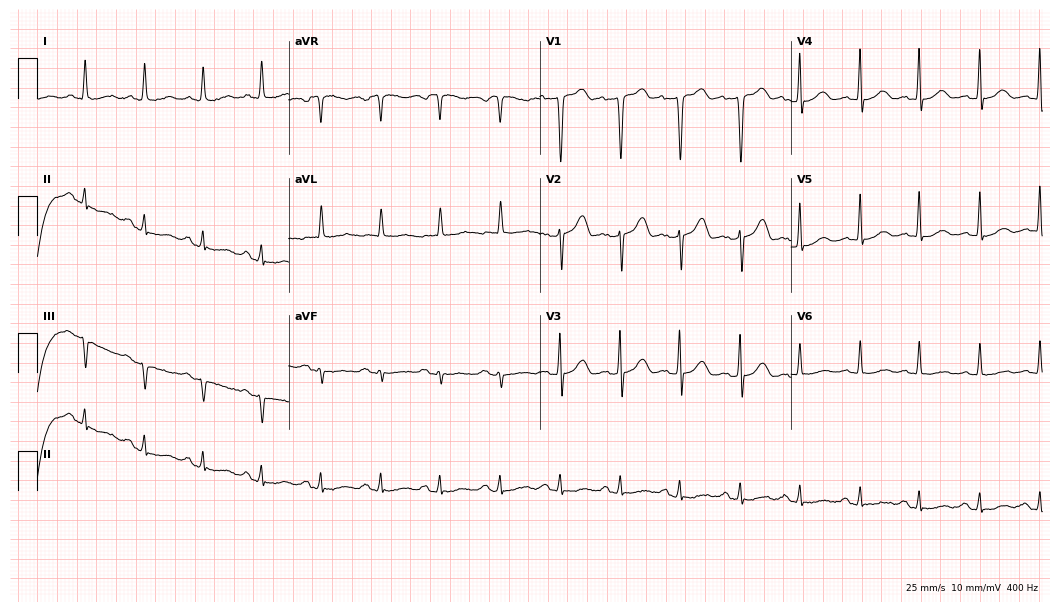
12-lead ECG (10.2-second recording at 400 Hz) from a woman, 54 years old. Screened for six findings — first-degree AV block, right bundle branch block, left bundle branch block, sinus bradycardia, atrial fibrillation, sinus tachycardia — none is recorded. Findings outside these six are not listed.